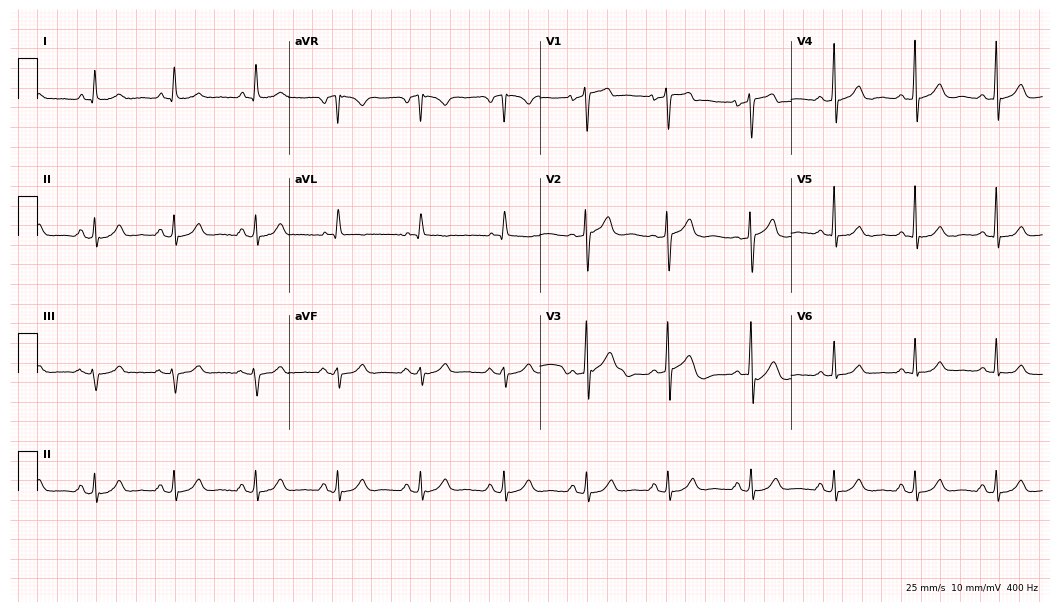
Resting 12-lead electrocardiogram. Patient: a man, 59 years old. Read as a normal ECG.